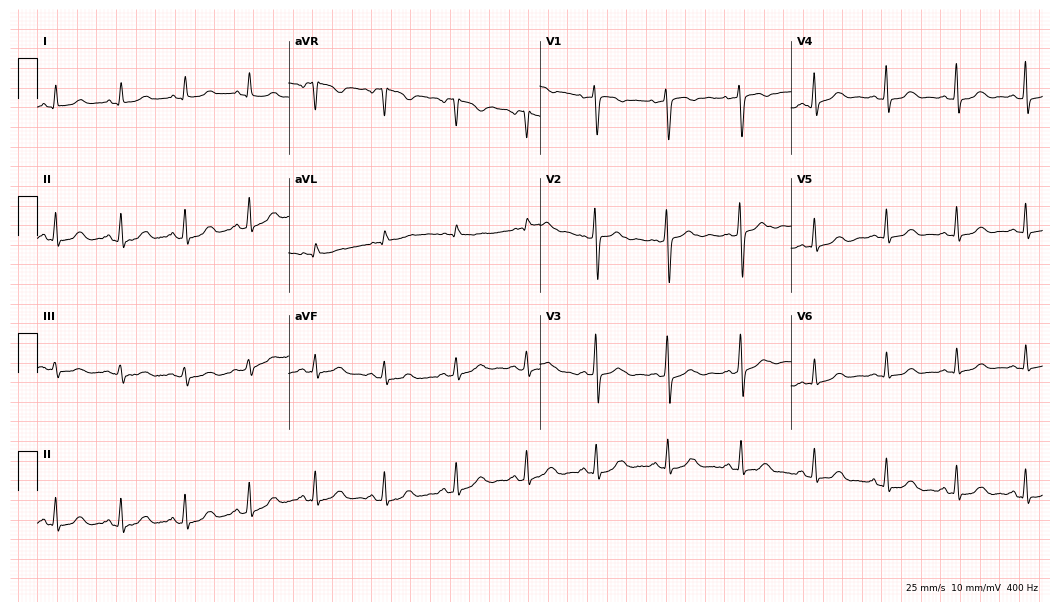
12-lead ECG from a female, 35 years old. No first-degree AV block, right bundle branch block, left bundle branch block, sinus bradycardia, atrial fibrillation or sinus tachycardia recorded for this tracing.